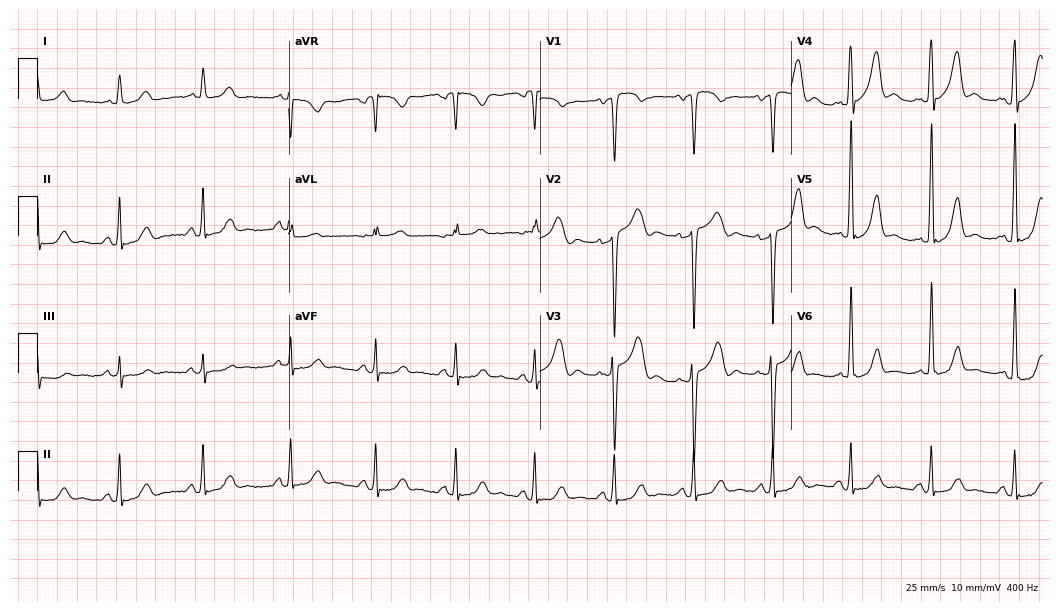
Resting 12-lead electrocardiogram. Patient: a 51-year-old male. Read as a normal ECG.